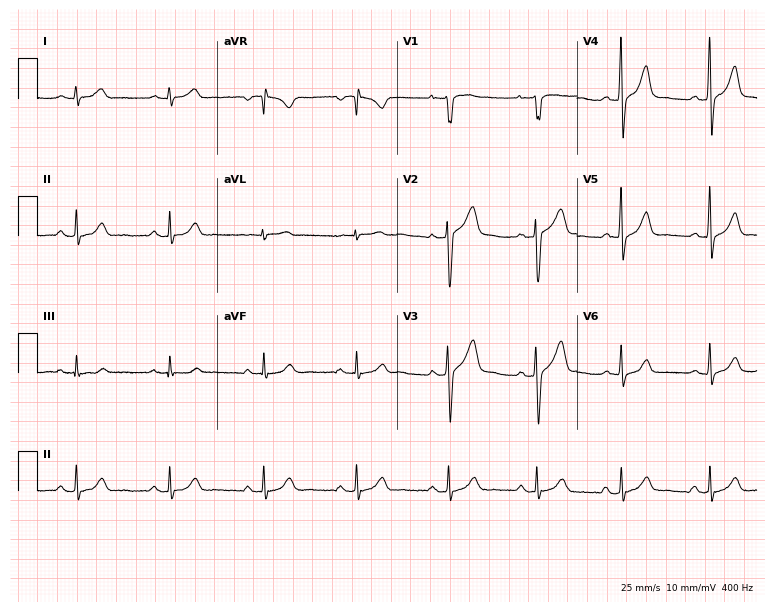
Electrocardiogram (7.3-second recording at 400 Hz), a 42-year-old man. Overall reading on record: normal ECG.